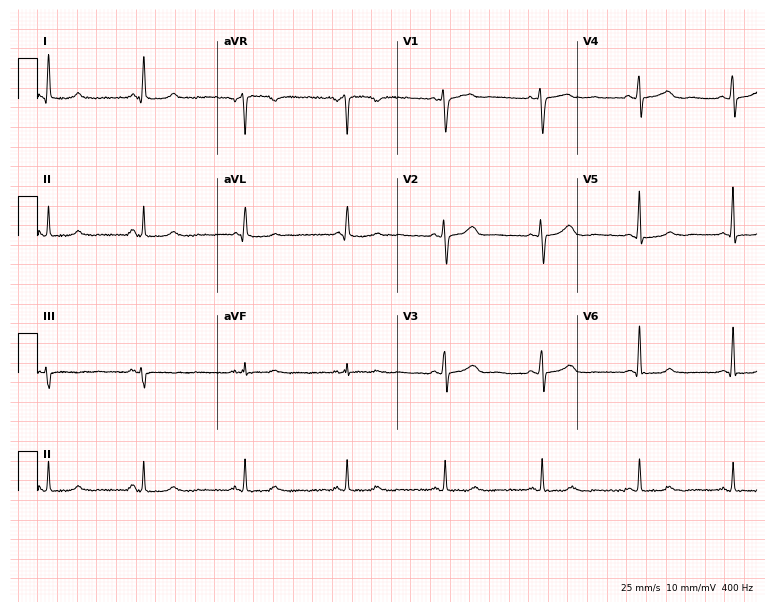
ECG — a female, 40 years old. Screened for six findings — first-degree AV block, right bundle branch block, left bundle branch block, sinus bradycardia, atrial fibrillation, sinus tachycardia — none is recorded.